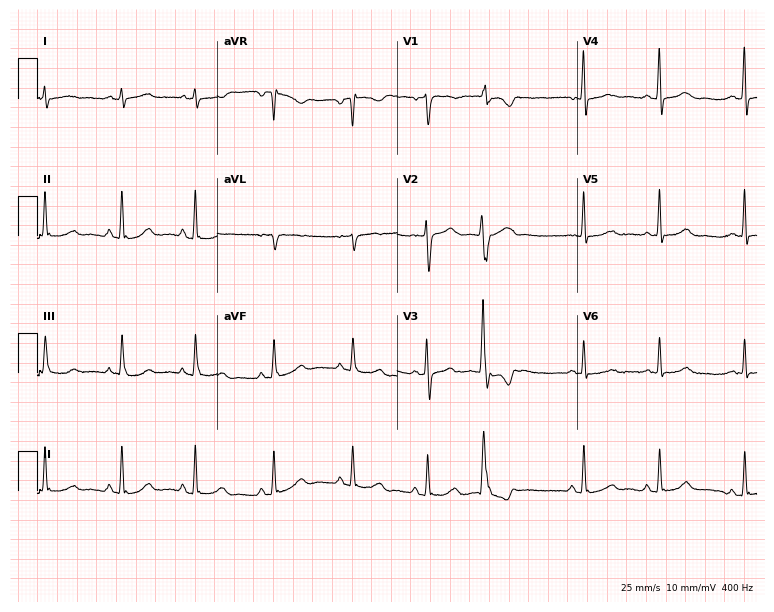
Electrocardiogram (7.3-second recording at 400 Hz), a female, 21 years old. Of the six screened findings (first-degree AV block, right bundle branch block (RBBB), left bundle branch block (LBBB), sinus bradycardia, atrial fibrillation (AF), sinus tachycardia), none is recorded.